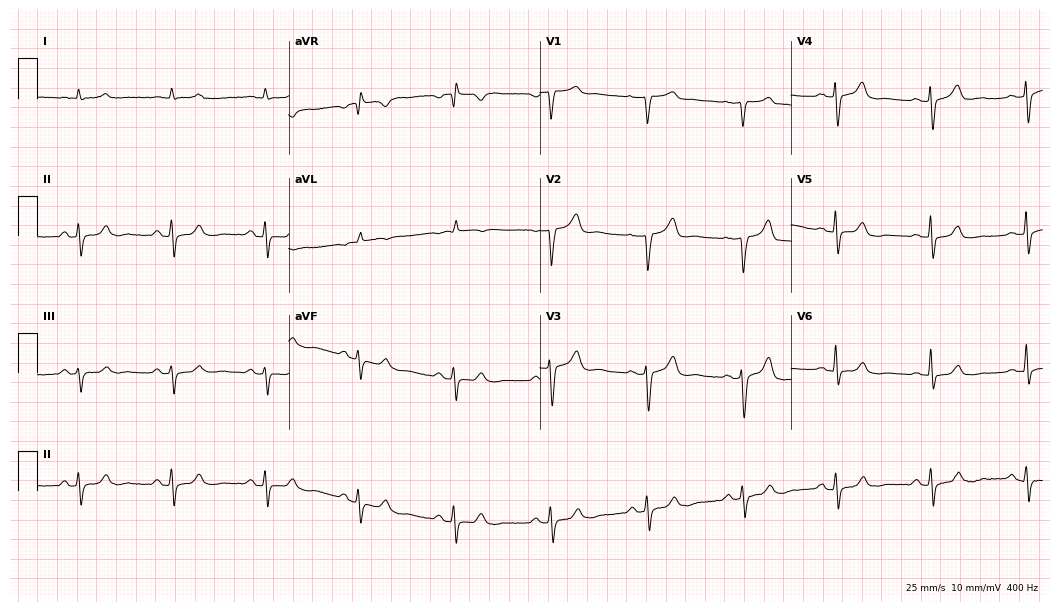
12-lead ECG from an 81-year-old male. No first-degree AV block, right bundle branch block, left bundle branch block, sinus bradycardia, atrial fibrillation or sinus tachycardia recorded for this tracing. Other findings, if any, are not listed.